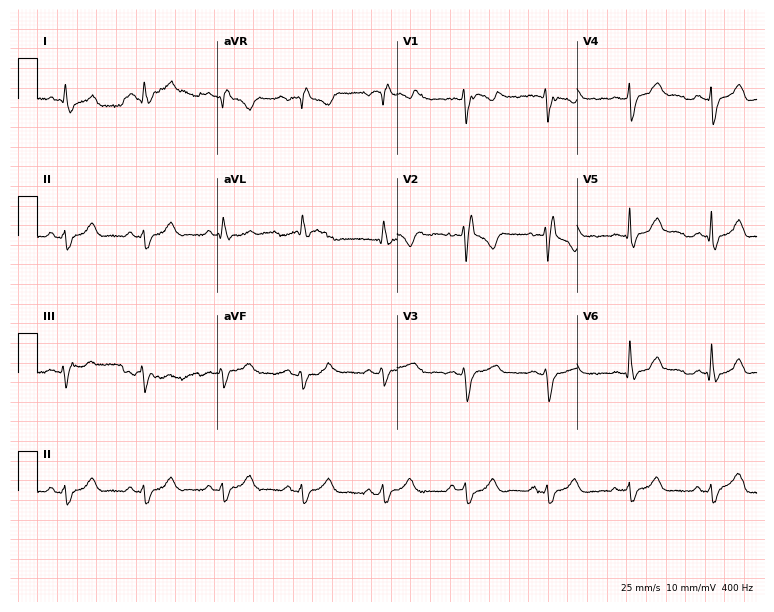
12-lead ECG from a female, 39 years old. No first-degree AV block, right bundle branch block, left bundle branch block, sinus bradycardia, atrial fibrillation or sinus tachycardia recorded for this tracing.